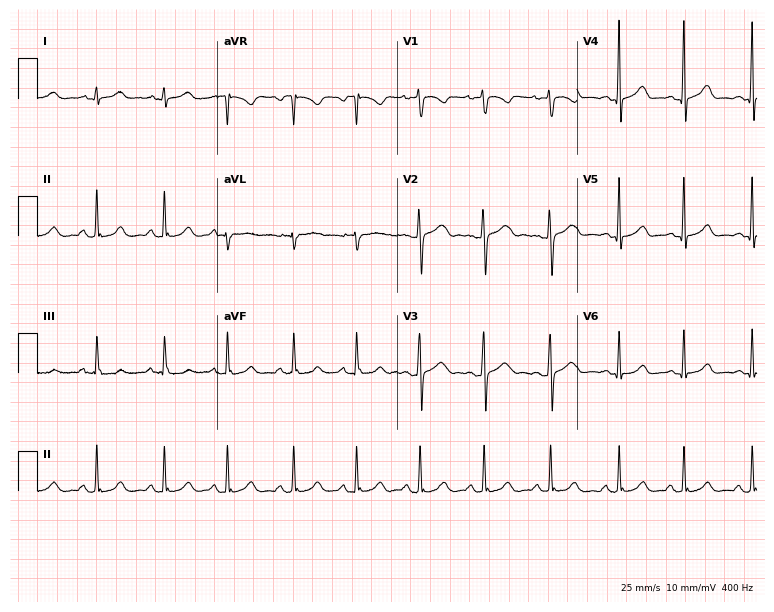
ECG — a woman, 18 years old. Screened for six findings — first-degree AV block, right bundle branch block, left bundle branch block, sinus bradycardia, atrial fibrillation, sinus tachycardia — none is recorded. Findings outside these six are not listed.